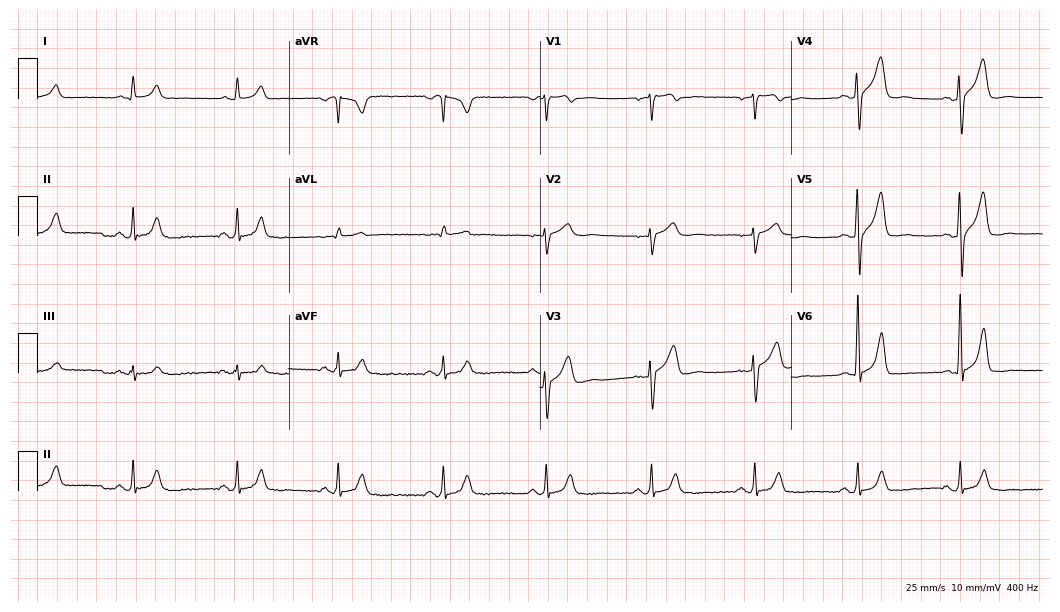
12-lead ECG (10.2-second recording at 400 Hz) from a 51-year-old male patient. Labelled as a normal ECG.